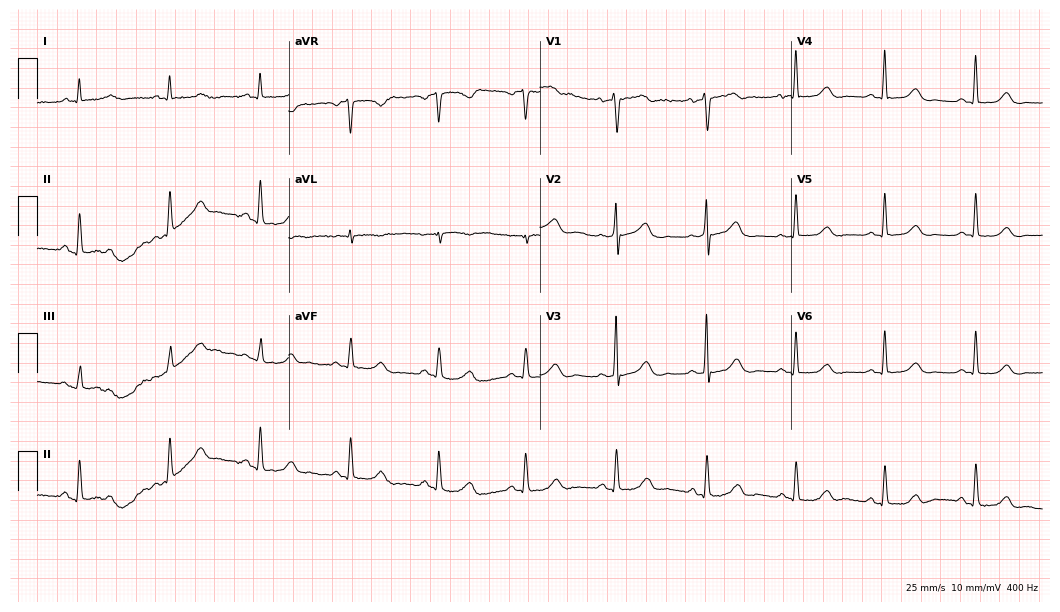
12-lead ECG from a woman, 59 years old. No first-degree AV block, right bundle branch block (RBBB), left bundle branch block (LBBB), sinus bradycardia, atrial fibrillation (AF) or sinus tachycardia recorded for this tracing.